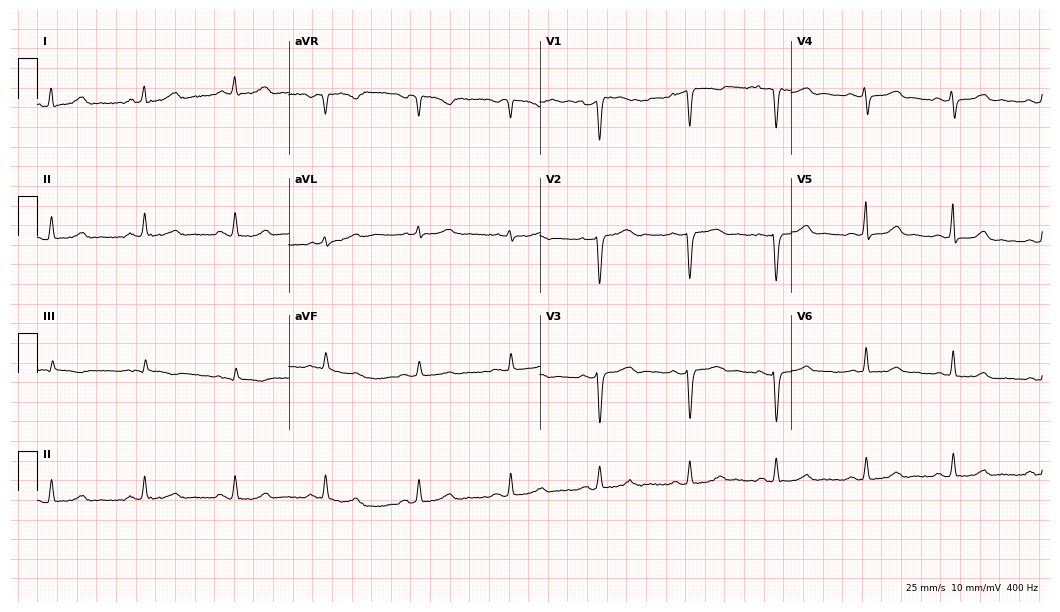
12-lead ECG (10.2-second recording at 400 Hz) from a 38-year-old female. Screened for six findings — first-degree AV block, right bundle branch block, left bundle branch block, sinus bradycardia, atrial fibrillation, sinus tachycardia — none is recorded.